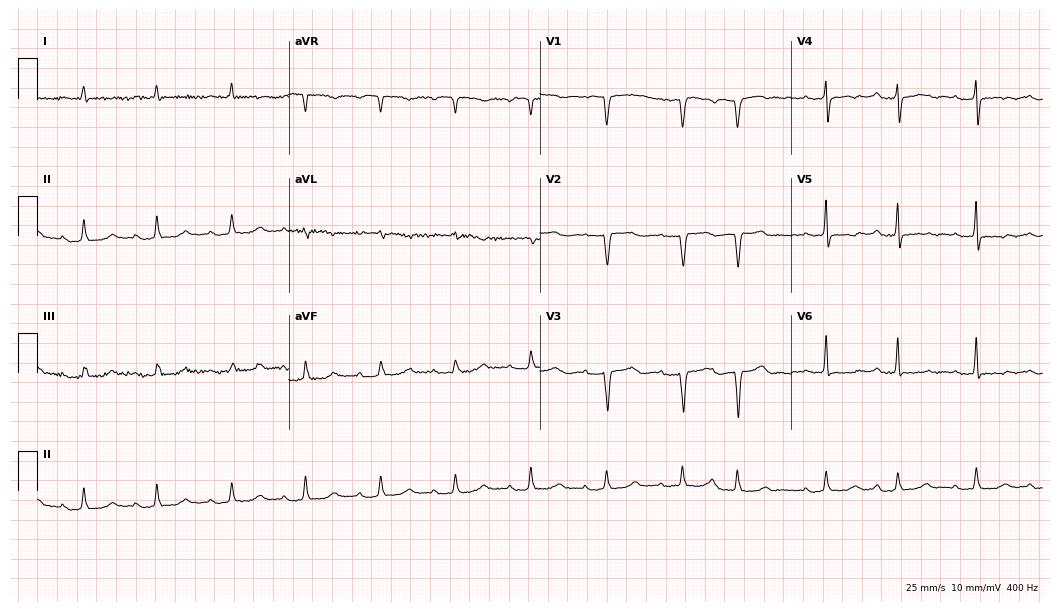
12-lead ECG from a female, 76 years old. No first-degree AV block, right bundle branch block (RBBB), left bundle branch block (LBBB), sinus bradycardia, atrial fibrillation (AF) or sinus tachycardia recorded for this tracing. Findings outside these six are not listed.